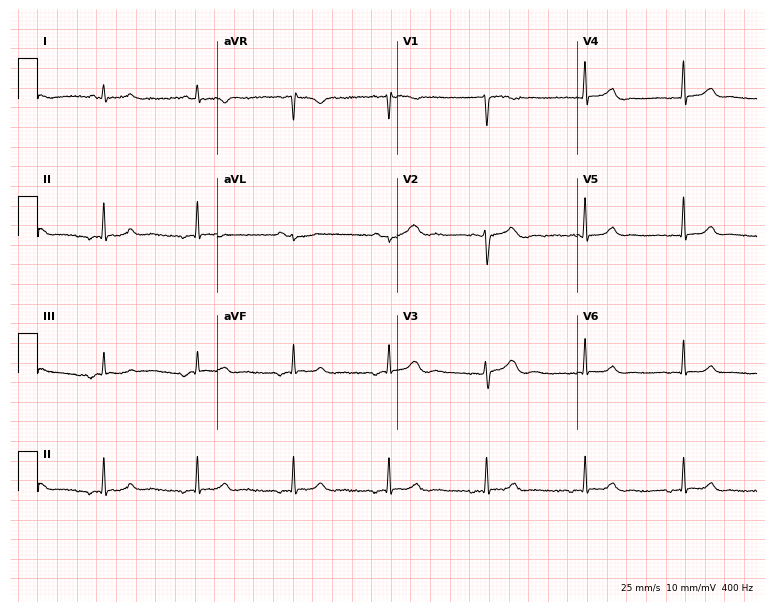
Resting 12-lead electrocardiogram (7.3-second recording at 400 Hz). Patient: a woman, 28 years old. None of these six findings is recorded: first-degree AV block, right bundle branch block, left bundle branch block, sinus bradycardia, atrial fibrillation, sinus tachycardia. Only these six findings were labelled.